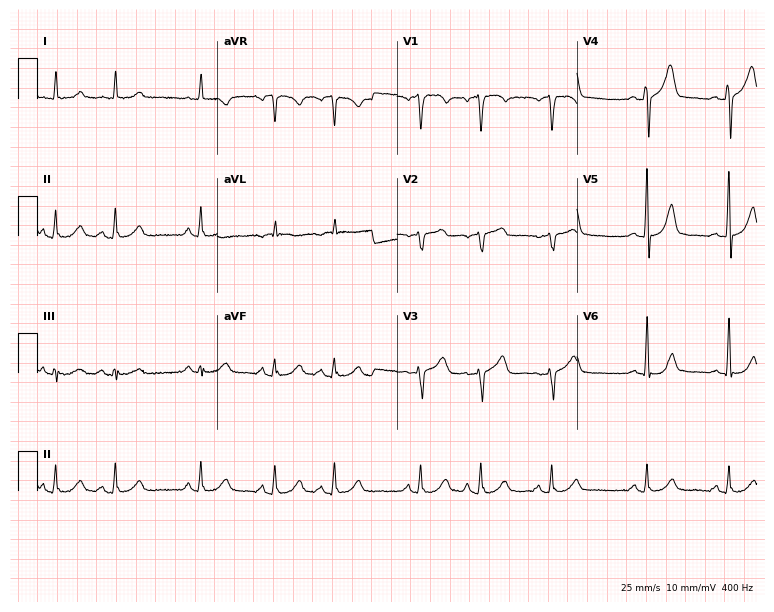
12-lead ECG from a 74-year-old male patient. No first-degree AV block, right bundle branch block (RBBB), left bundle branch block (LBBB), sinus bradycardia, atrial fibrillation (AF) or sinus tachycardia recorded for this tracing.